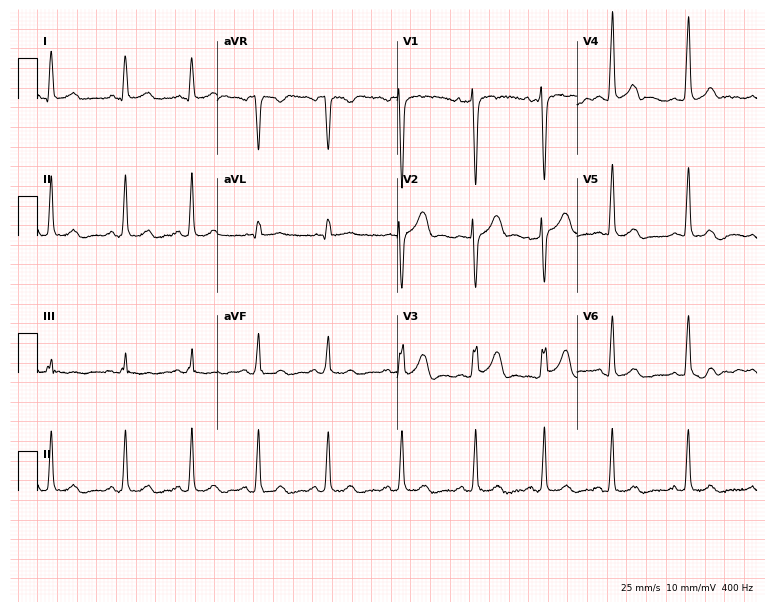
12-lead ECG from a 27-year-old female patient. No first-degree AV block, right bundle branch block (RBBB), left bundle branch block (LBBB), sinus bradycardia, atrial fibrillation (AF) or sinus tachycardia recorded for this tracing.